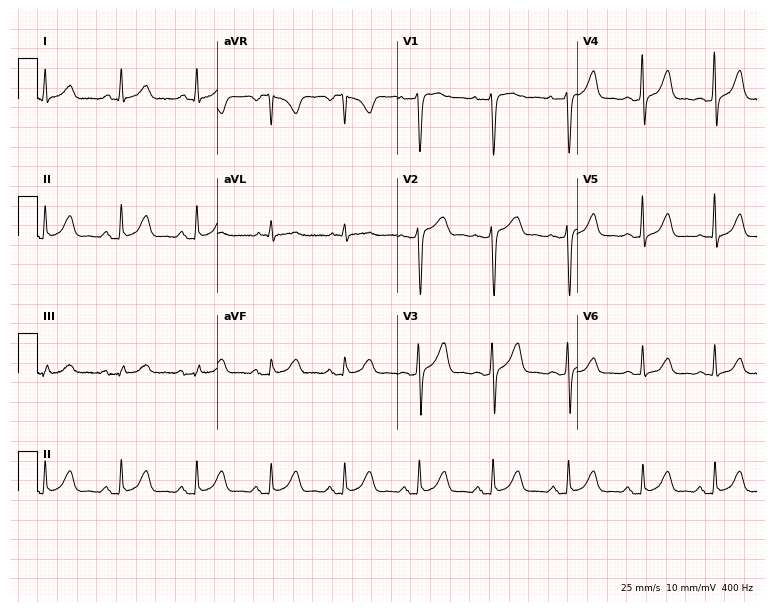
12-lead ECG from a woman, 46 years old (7.3-second recording at 400 Hz). No first-degree AV block, right bundle branch block (RBBB), left bundle branch block (LBBB), sinus bradycardia, atrial fibrillation (AF) or sinus tachycardia recorded for this tracing. Findings outside these six are not listed.